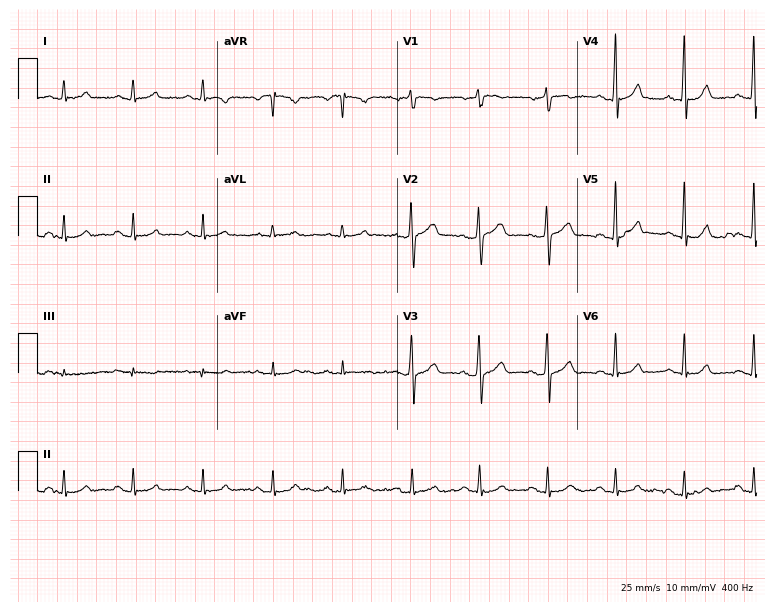
Resting 12-lead electrocardiogram (7.3-second recording at 400 Hz). Patient: a 56-year-old male. Read as a normal ECG.